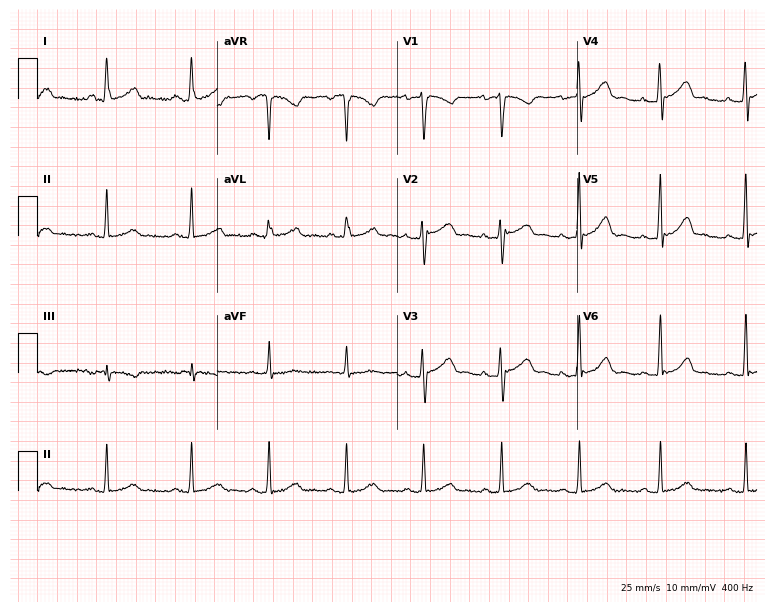
12-lead ECG from a 34-year-old female patient. Labelled as a normal ECG.